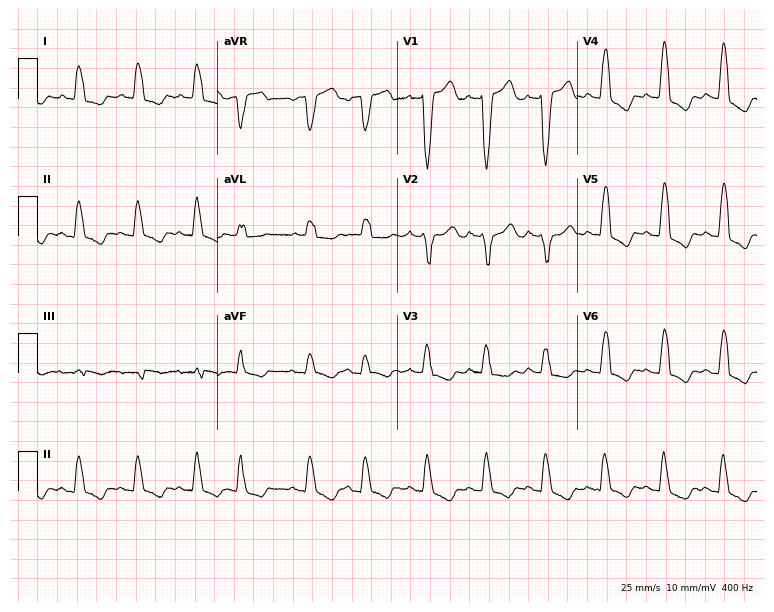
Resting 12-lead electrocardiogram (7.3-second recording at 400 Hz). Patient: a 76-year-old female. The tracing shows left bundle branch block.